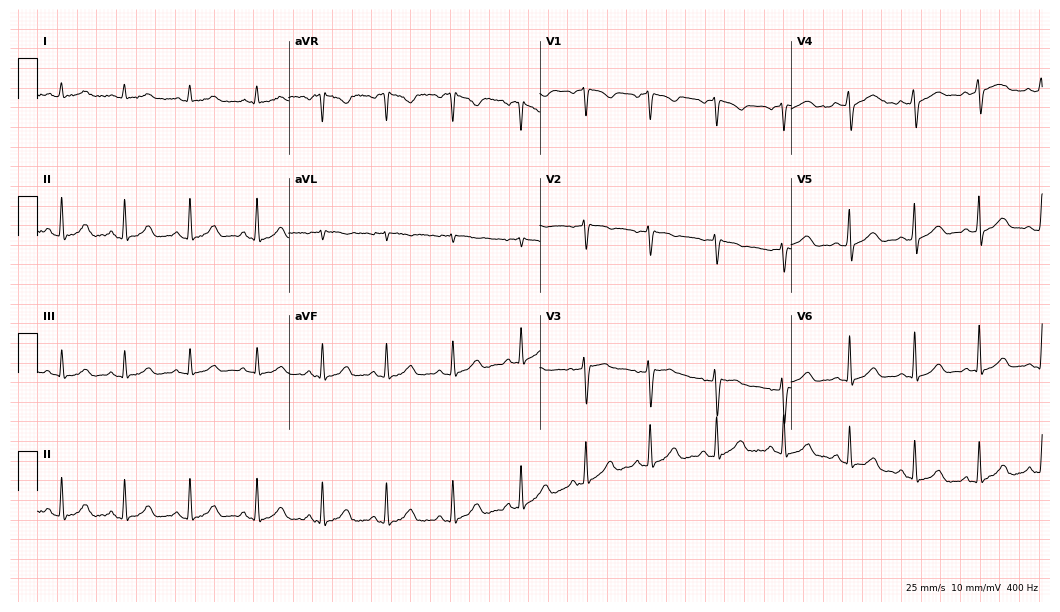
Resting 12-lead electrocardiogram. Patient: a female, 48 years old. Read as a normal ECG.